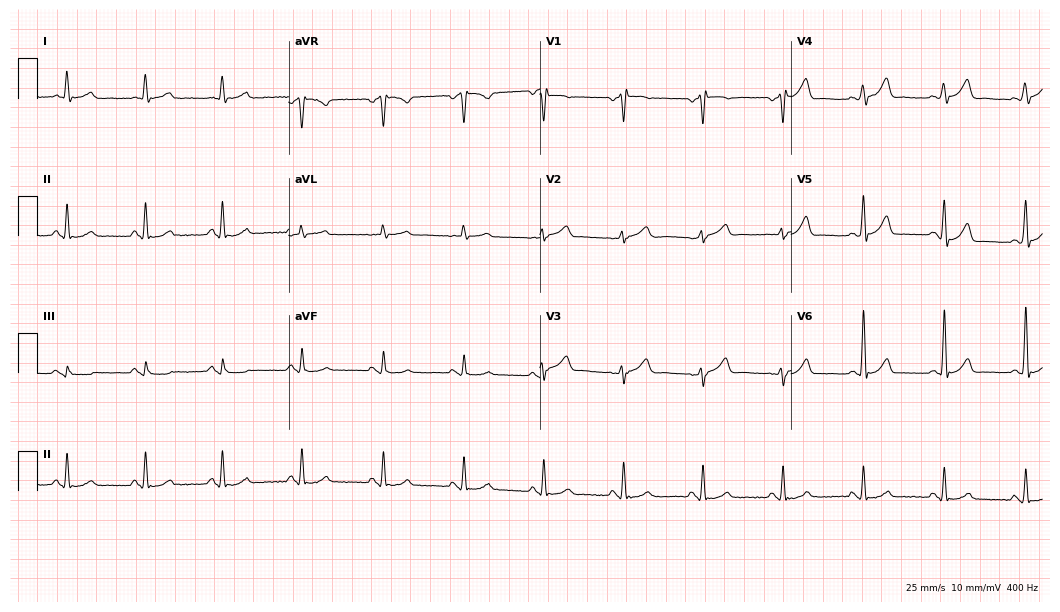
Standard 12-lead ECG recorded from a man, 76 years old. Read as a normal ECG.